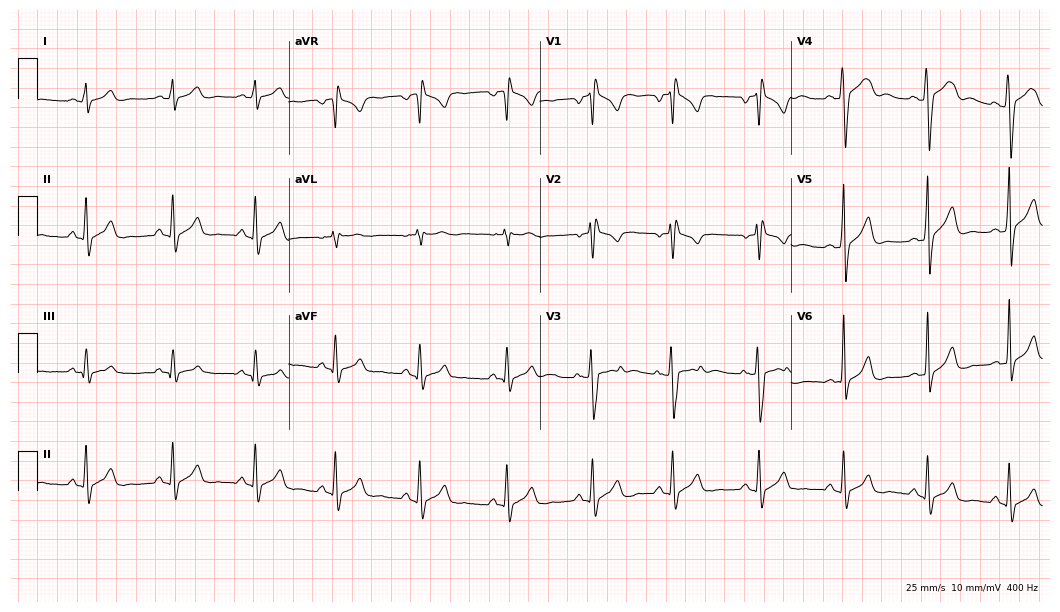
12-lead ECG from a 24-year-old male. No first-degree AV block, right bundle branch block (RBBB), left bundle branch block (LBBB), sinus bradycardia, atrial fibrillation (AF) or sinus tachycardia recorded for this tracing. Findings outside these six are not listed.